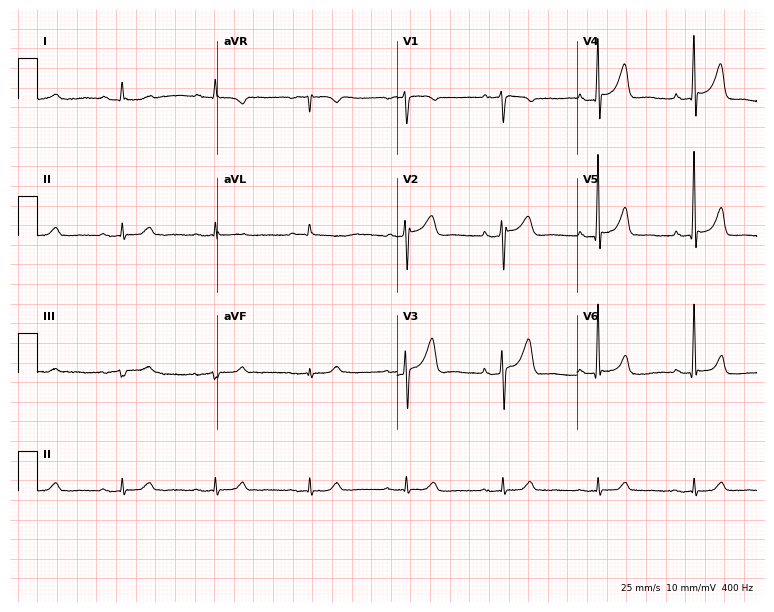
12-lead ECG from a male patient, 72 years old. No first-degree AV block, right bundle branch block, left bundle branch block, sinus bradycardia, atrial fibrillation or sinus tachycardia recorded for this tracing.